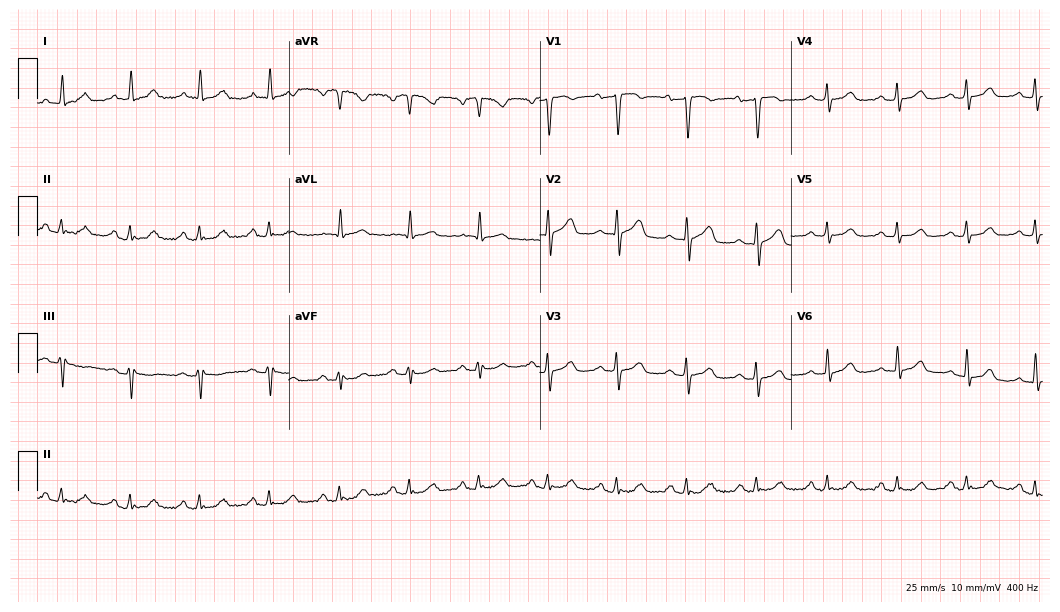
Electrocardiogram, a woman, 72 years old. Of the six screened findings (first-degree AV block, right bundle branch block, left bundle branch block, sinus bradycardia, atrial fibrillation, sinus tachycardia), none is recorded. Findings outside these six are not listed.